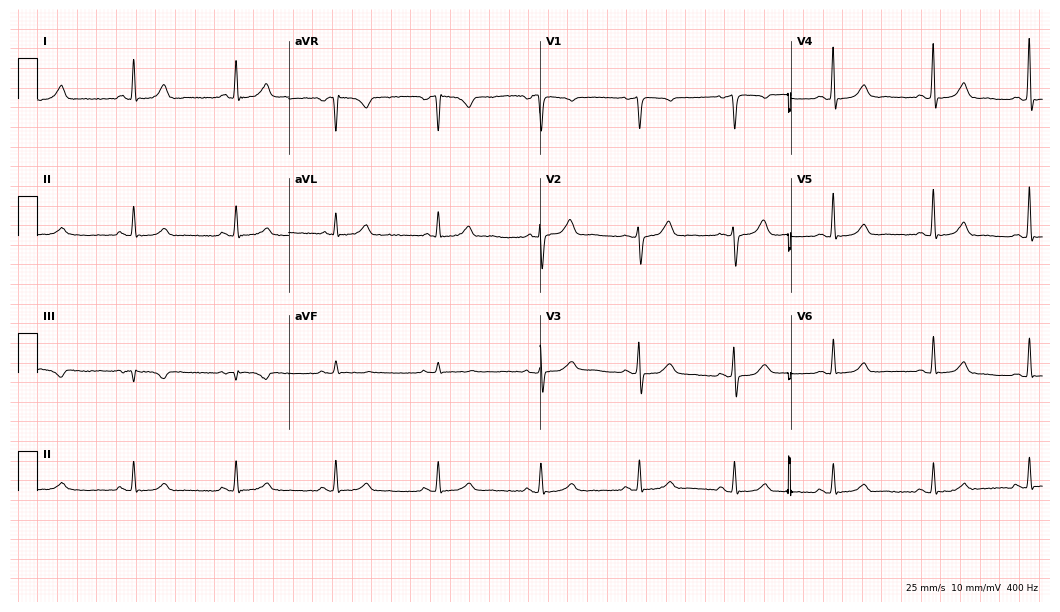
Resting 12-lead electrocardiogram (10.2-second recording at 400 Hz). Patient: a 60-year-old woman. Read as a normal ECG.